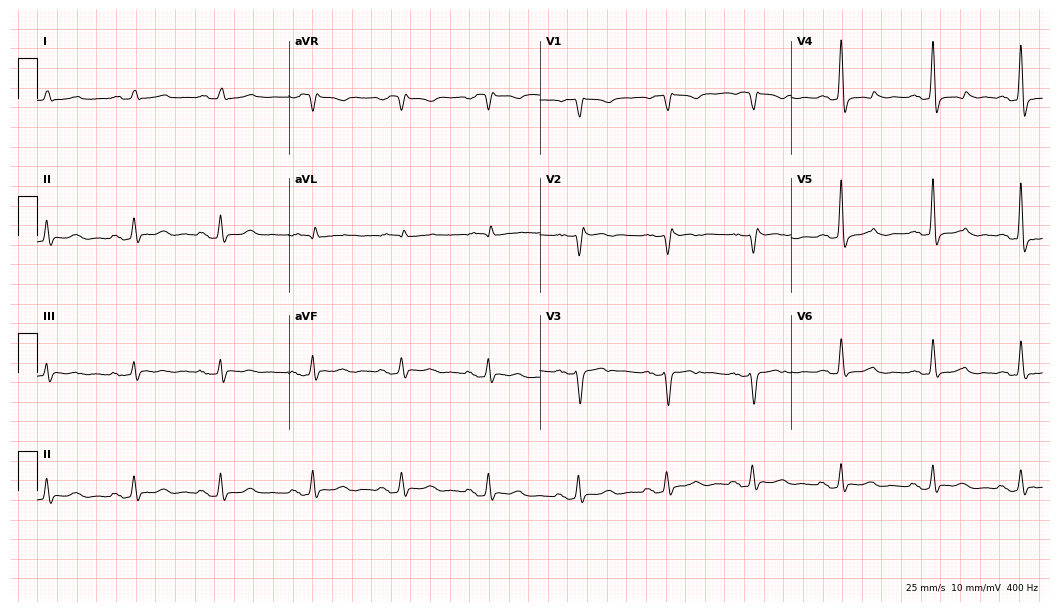
12-lead ECG (10.2-second recording at 400 Hz) from a female, 56 years old. Screened for six findings — first-degree AV block, right bundle branch block, left bundle branch block, sinus bradycardia, atrial fibrillation, sinus tachycardia — none is recorded.